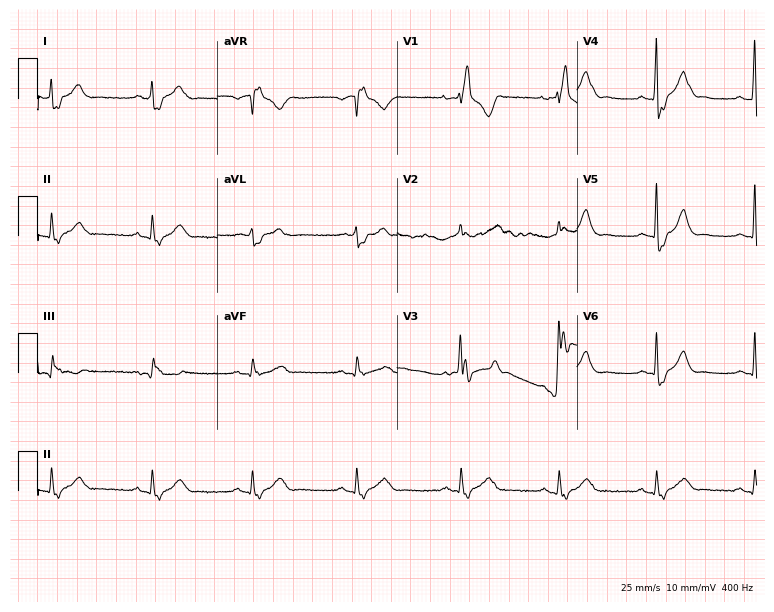
12-lead ECG from a 30-year-old male. Findings include right bundle branch block.